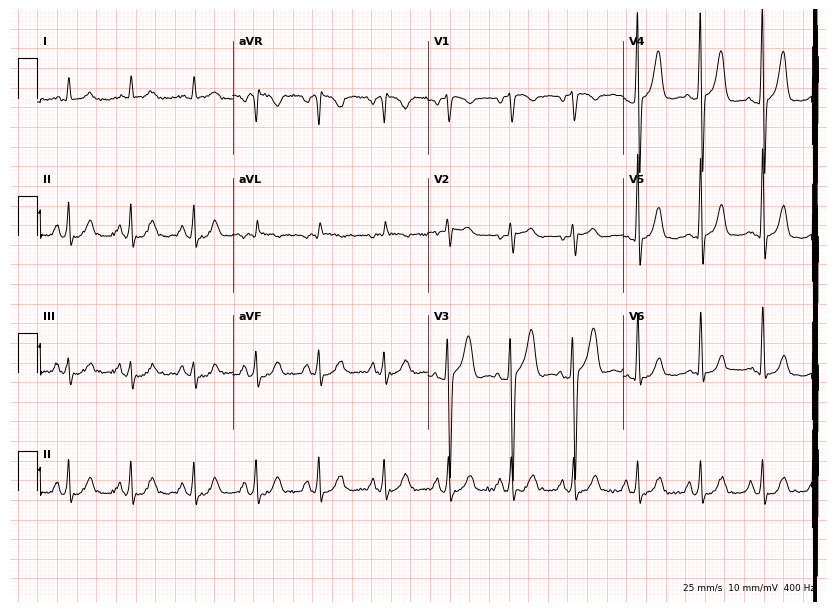
12-lead ECG (8-second recording at 400 Hz) from a 54-year-old man. Labelled as a normal ECG.